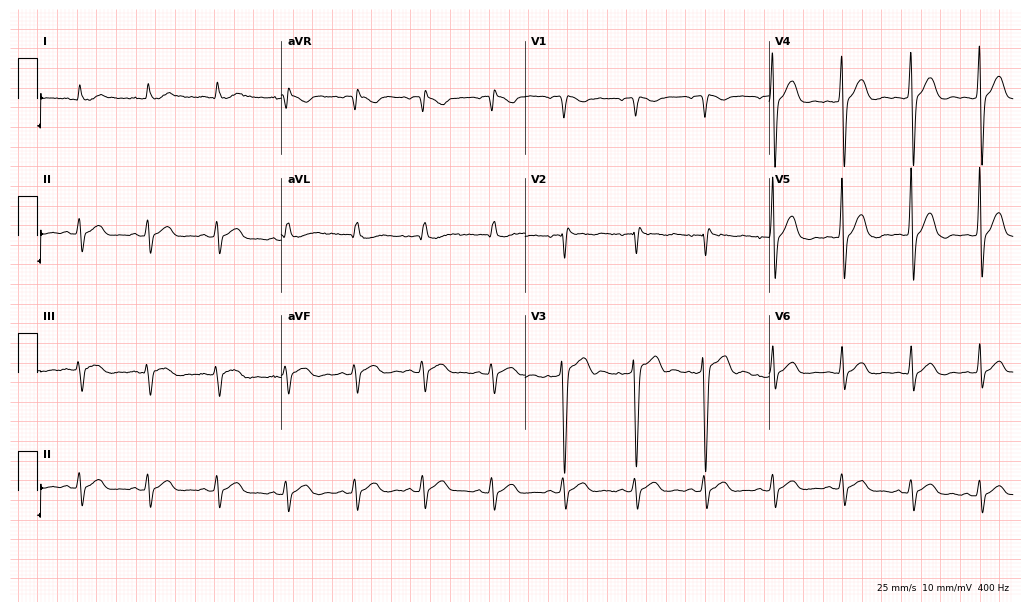
ECG (9.9-second recording at 400 Hz) — a 55-year-old woman. Screened for six findings — first-degree AV block, right bundle branch block, left bundle branch block, sinus bradycardia, atrial fibrillation, sinus tachycardia — none is recorded.